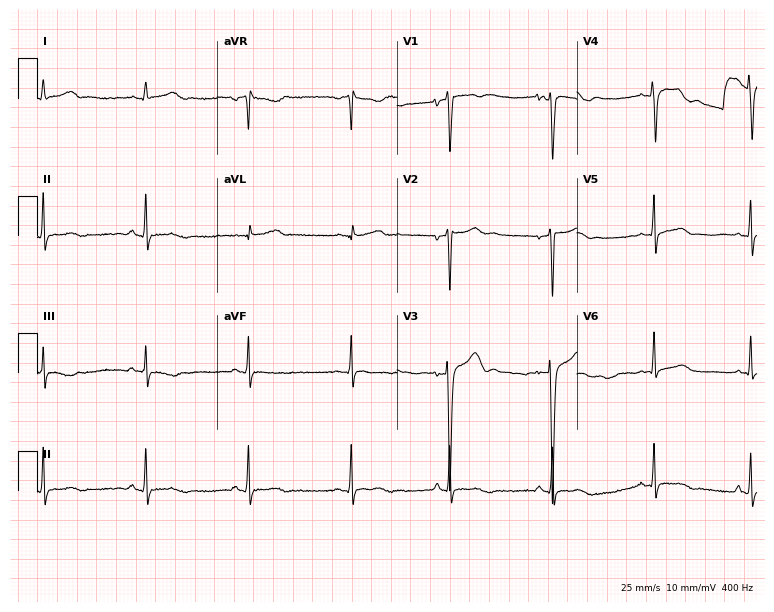
Electrocardiogram (7.3-second recording at 400 Hz), a 21-year-old man. Of the six screened findings (first-degree AV block, right bundle branch block, left bundle branch block, sinus bradycardia, atrial fibrillation, sinus tachycardia), none is recorded.